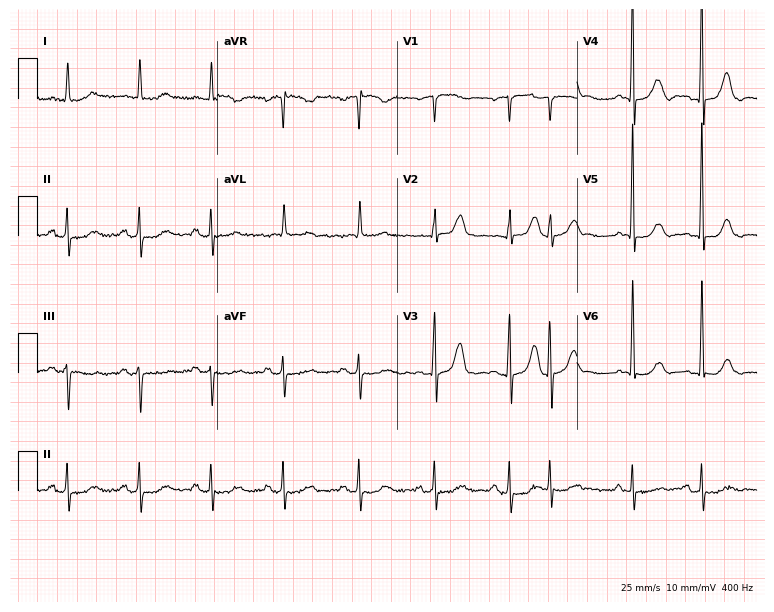
12-lead ECG from a 71-year-old female patient. No first-degree AV block, right bundle branch block, left bundle branch block, sinus bradycardia, atrial fibrillation or sinus tachycardia recorded for this tracing.